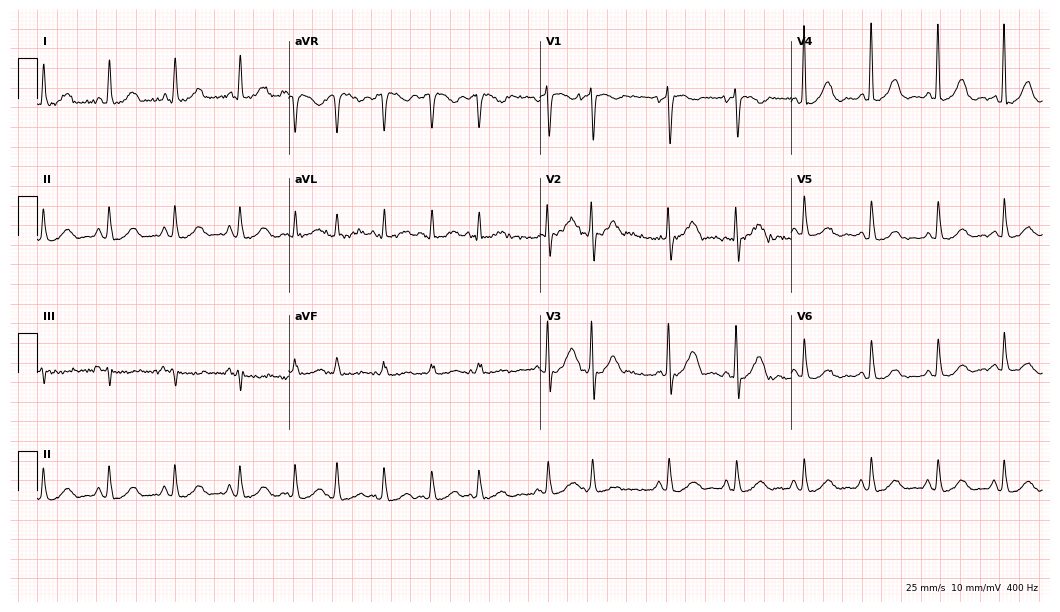
ECG — a 76-year-old female patient. Screened for six findings — first-degree AV block, right bundle branch block, left bundle branch block, sinus bradycardia, atrial fibrillation, sinus tachycardia — none is recorded.